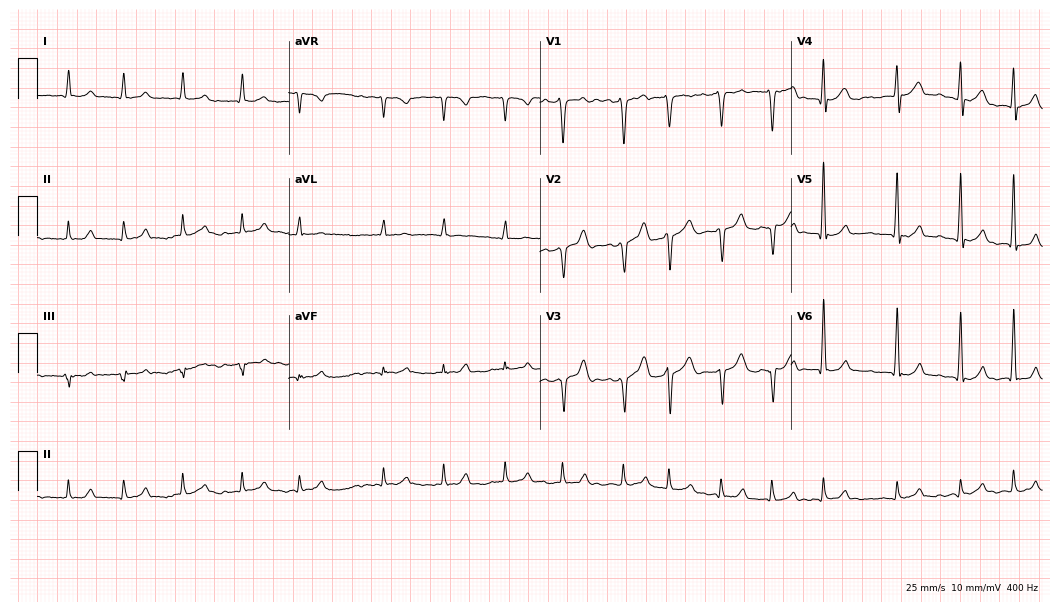
12-lead ECG from a 55-year-old male patient. Shows atrial fibrillation (AF).